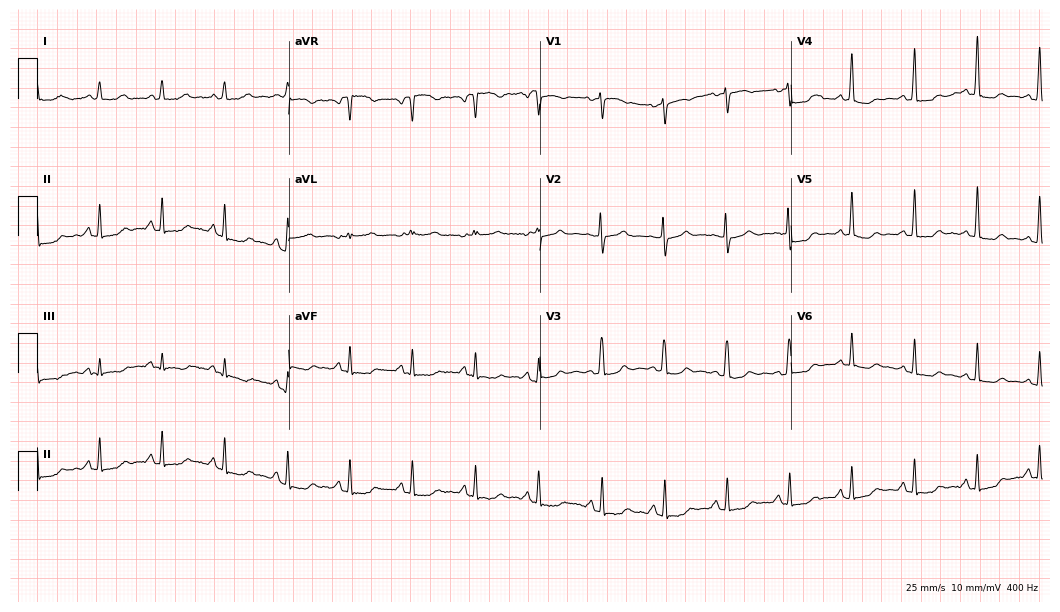
ECG (10.2-second recording at 400 Hz) — a female, 68 years old. Screened for six findings — first-degree AV block, right bundle branch block (RBBB), left bundle branch block (LBBB), sinus bradycardia, atrial fibrillation (AF), sinus tachycardia — none is recorded. Other findings, if any, are not listed.